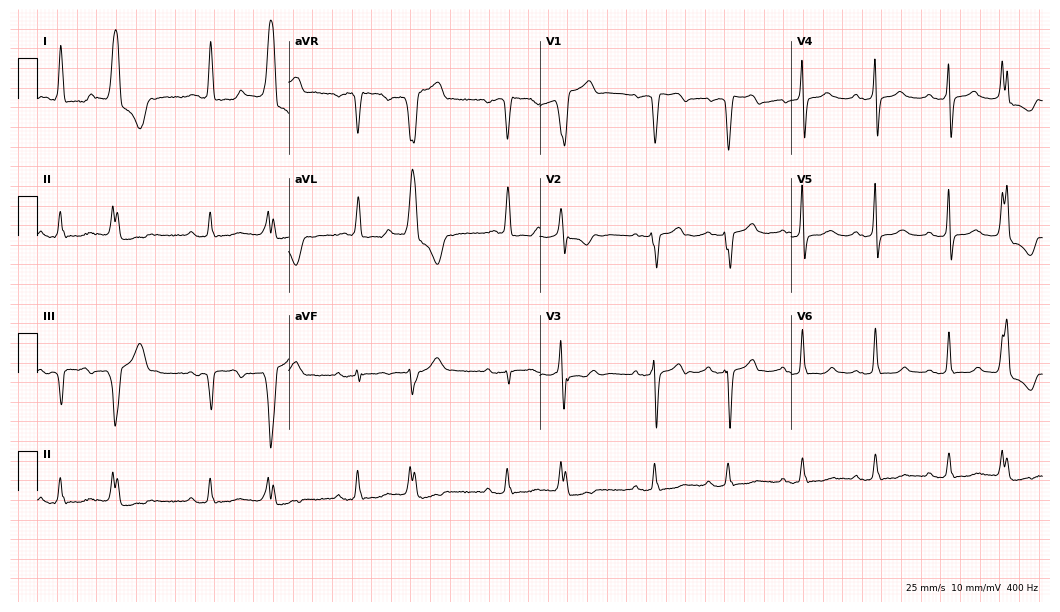
12-lead ECG from a 70-year-old female (10.2-second recording at 400 Hz). No first-degree AV block, right bundle branch block, left bundle branch block, sinus bradycardia, atrial fibrillation or sinus tachycardia recorded for this tracing. Other findings, if any, are not listed.